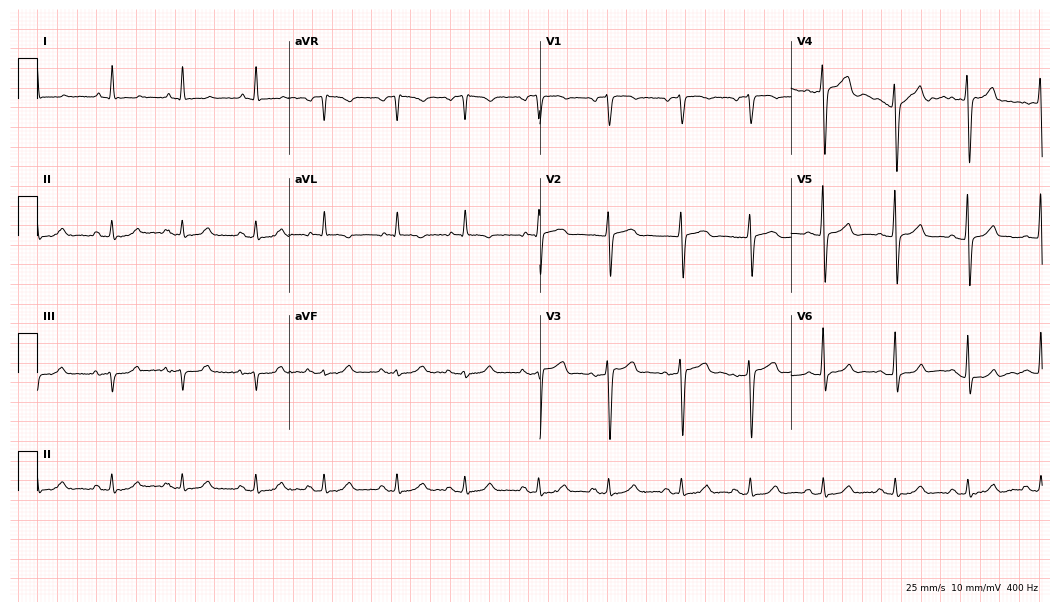
Resting 12-lead electrocardiogram (10.2-second recording at 400 Hz). Patient: a man, 58 years old. None of these six findings is recorded: first-degree AV block, right bundle branch block, left bundle branch block, sinus bradycardia, atrial fibrillation, sinus tachycardia.